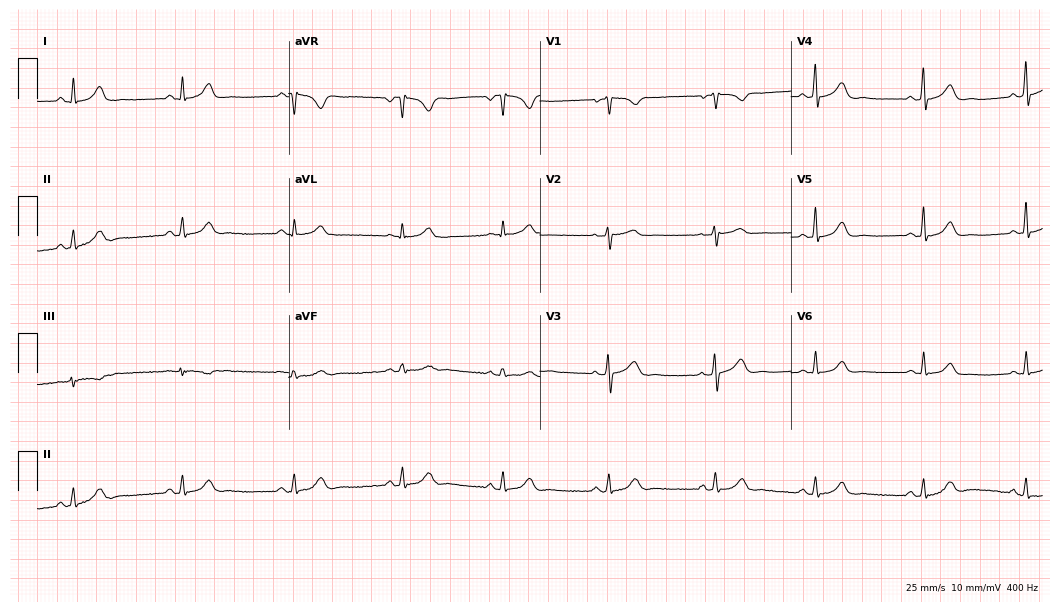
Standard 12-lead ECG recorded from a female, 34 years old. None of these six findings is recorded: first-degree AV block, right bundle branch block, left bundle branch block, sinus bradycardia, atrial fibrillation, sinus tachycardia.